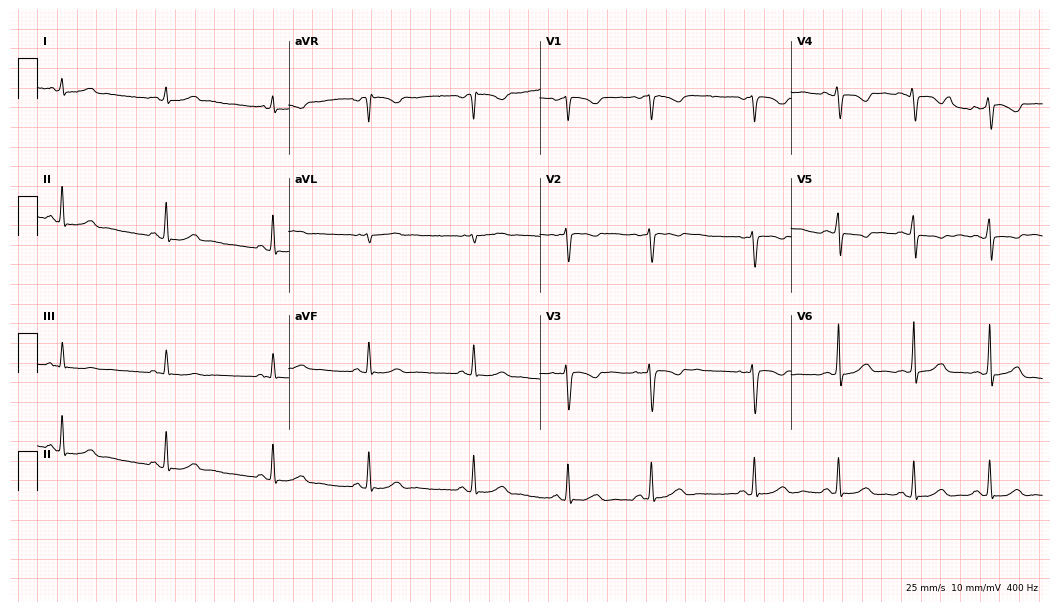
12-lead ECG from a 20-year-old female (10.2-second recording at 400 Hz). No first-degree AV block, right bundle branch block (RBBB), left bundle branch block (LBBB), sinus bradycardia, atrial fibrillation (AF) or sinus tachycardia recorded for this tracing. Other findings, if any, are not listed.